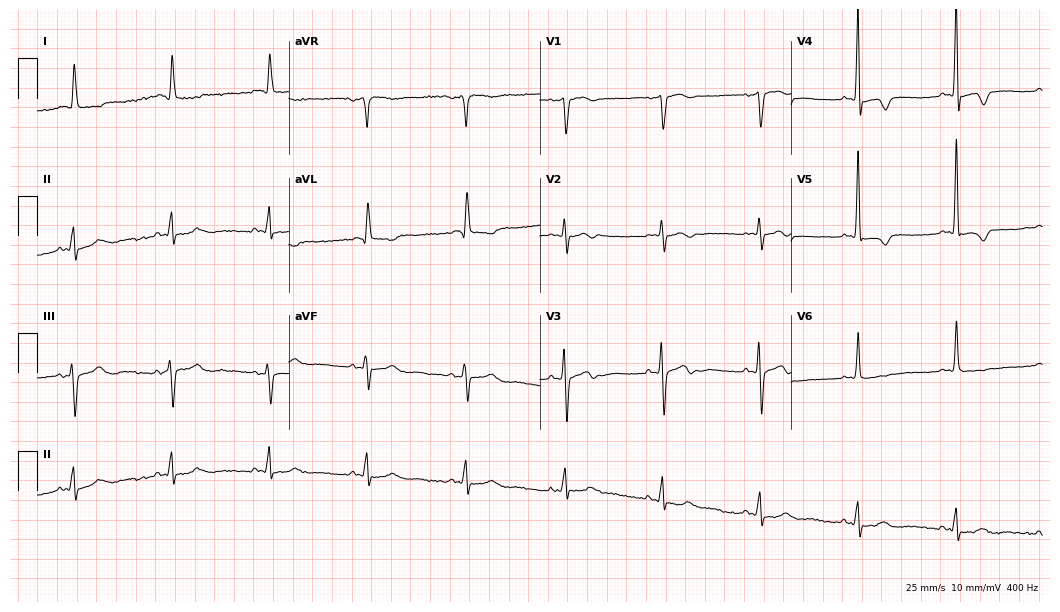
ECG (10.2-second recording at 400 Hz) — an 85-year-old woman. Screened for six findings — first-degree AV block, right bundle branch block (RBBB), left bundle branch block (LBBB), sinus bradycardia, atrial fibrillation (AF), sinus tachycardia — none is recorded.